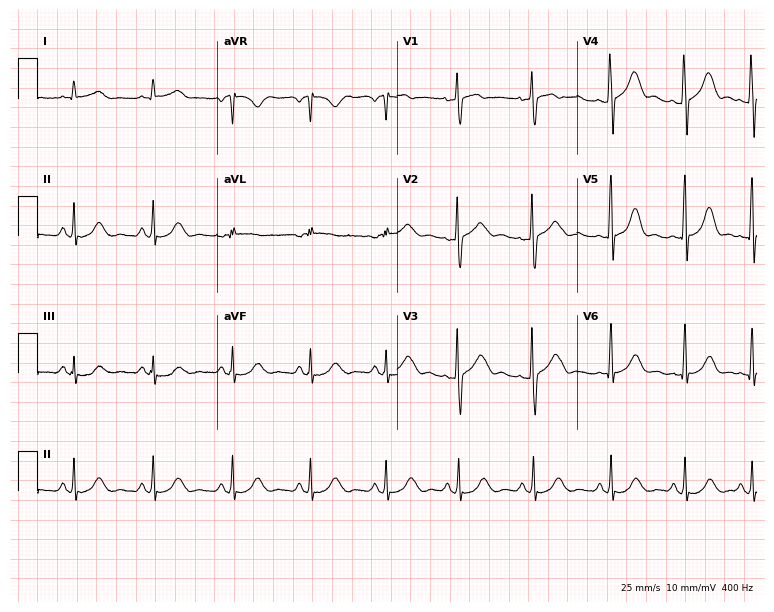
ECG (7.3-second recording at 400 Hz) — a man, 54 years old. Screened for six findings — first-degree AV block, right bundle branch block (RBBB), left bundle branch block (LBBB), sinus bradycardia, atrial fibrillation (AF), sinus tachycardia — none is recorded. Findings outside these six are not listed.